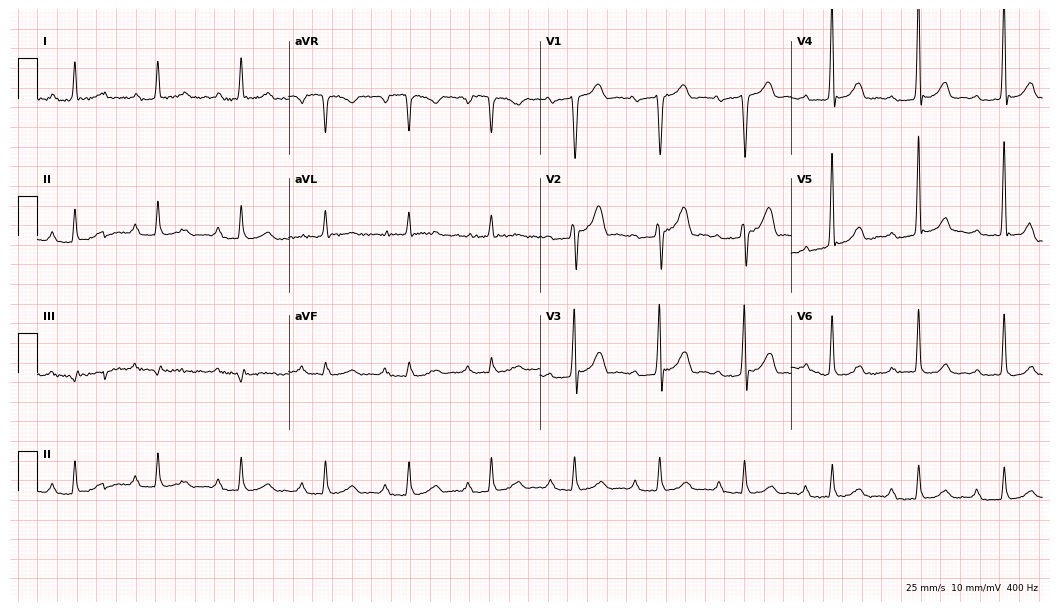
Electrocardiogram (10.2-second recording at 400 Hz), an 83-year-old male patient. Interpretation includes first-degree AV block.